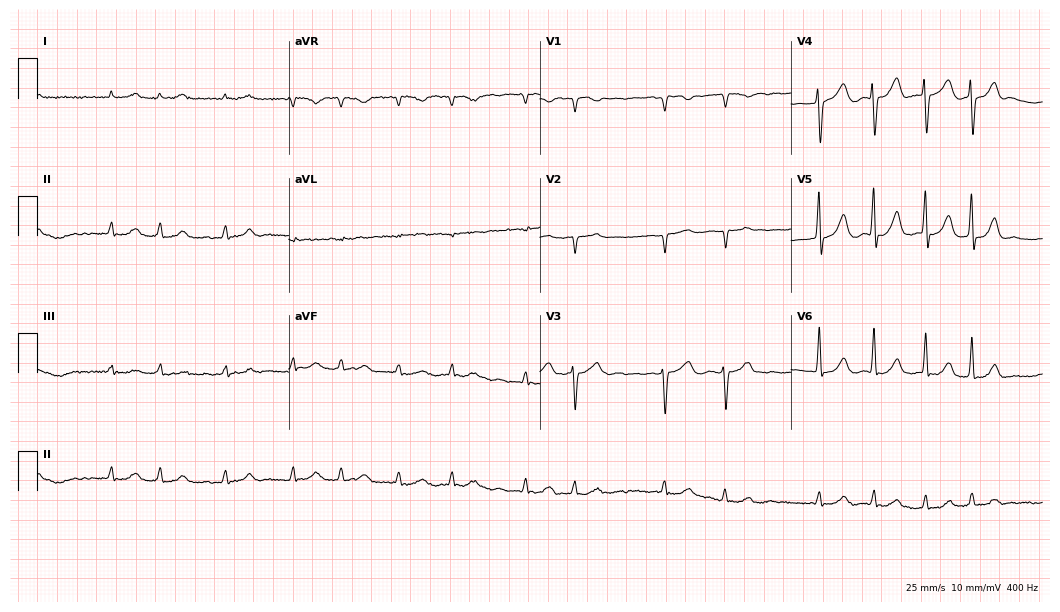
12-lead ECG (10.2-second recording at 400 Hz) from a female patient, 85 years old. Findings include atrial fibrillation.